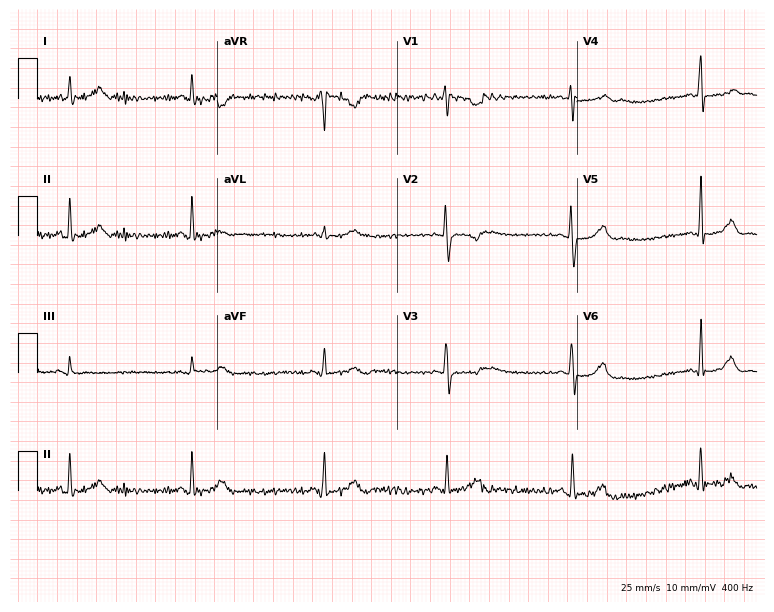
Electrocardiogram (7.3-second recording at 400 Hz), a female, 29 years old. Of the six screened findings (first-degree AV block, right bundle branch block, left bundle branch block, sinus bradycardia, atrial fibrillation, sinus tachycardia), none is recorded.